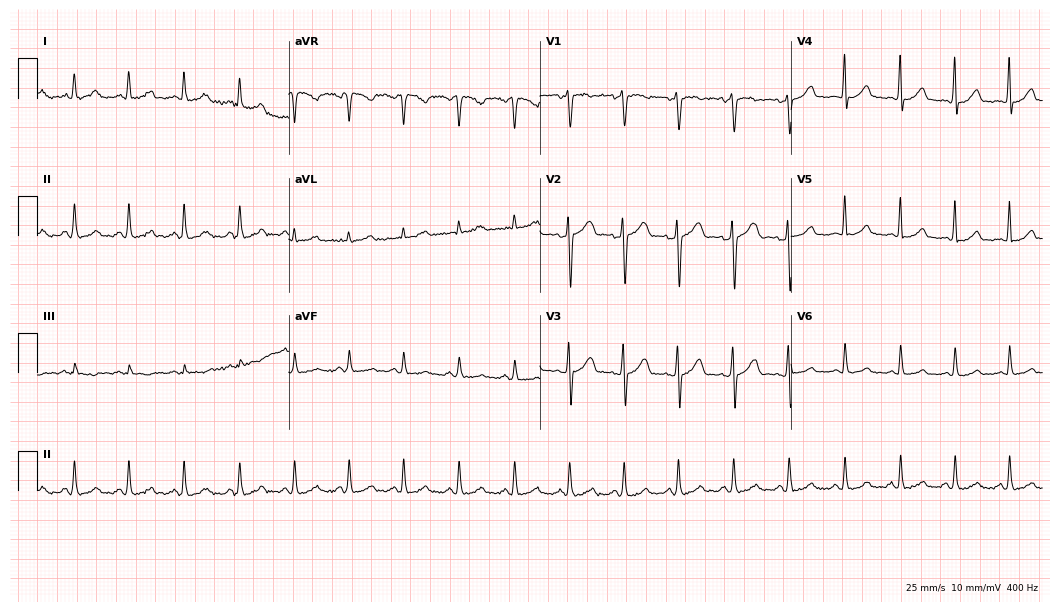
Electrocardiogram (10.2-second recording at 400 Hz), a 36-year-old female. Interpretation includes sinus tachycardia (a sinus rate of 100 beats per minute or more).